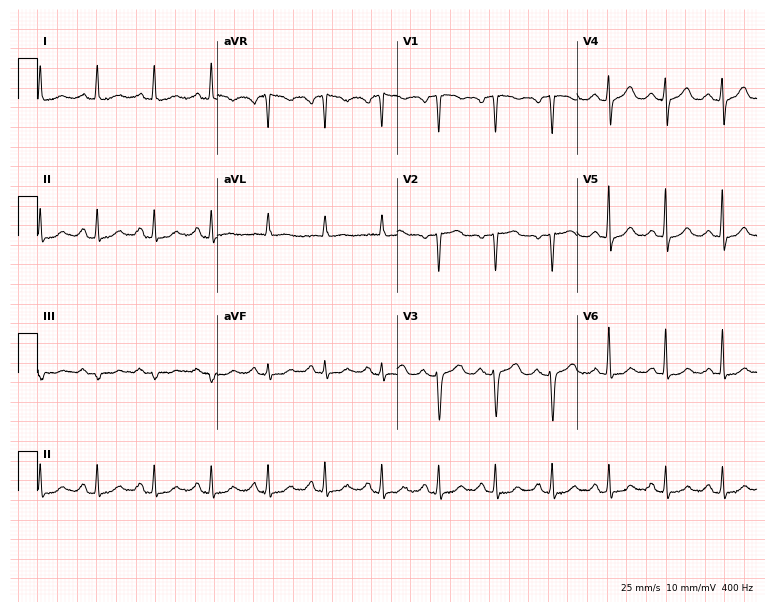
12-lead ECG (7.3-second recording at 400 Hz) from a 60-year-old woman. Labelled as a normal ECG.